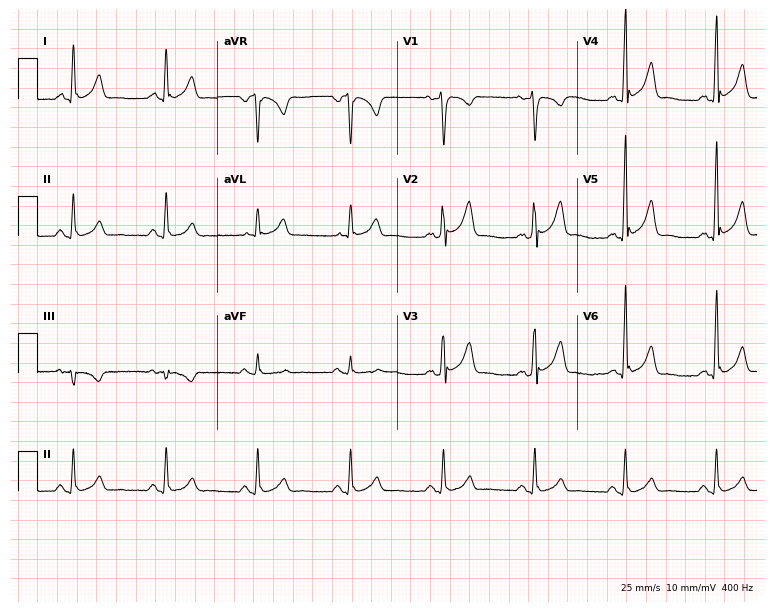
Resting 12-lead electrocardiogram. Patient: a 47-year-old man. Read as a normal ECG.